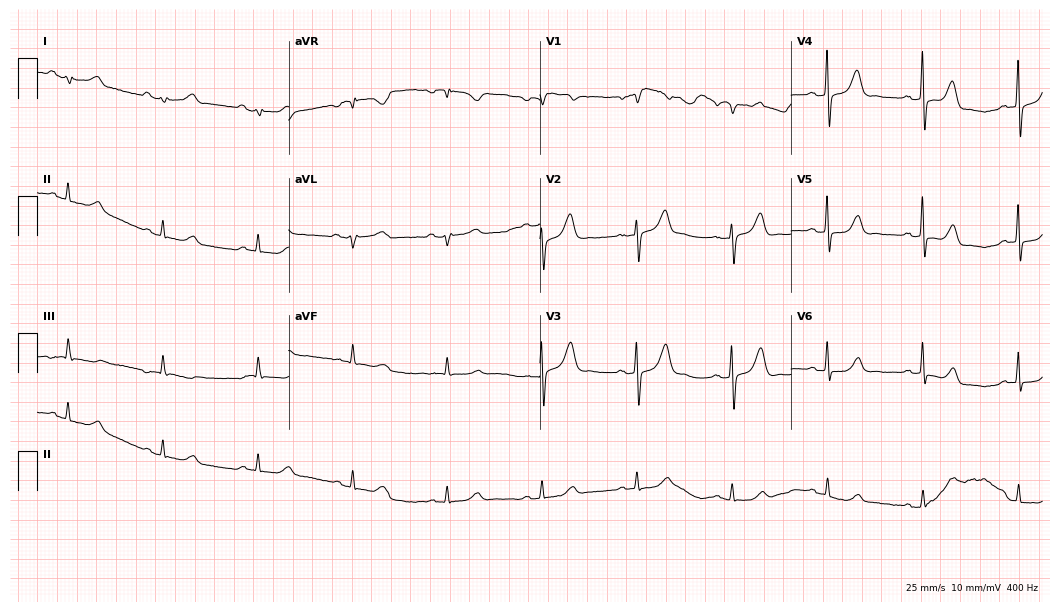
12-lead ECG from a man, 79 years old (10.2-second recording at 400 Hz). Recorded interpretation: within normal limits.